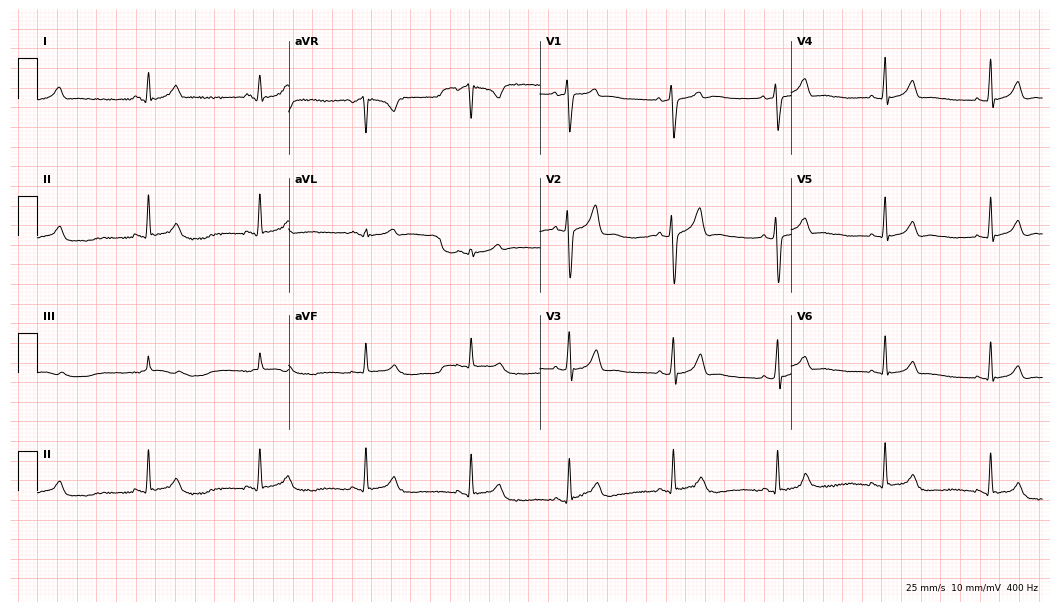
12-lead ECG from a 25-year-old female (10.2-second recording at 400 Hz). Recorded interpretation: within normal limits.